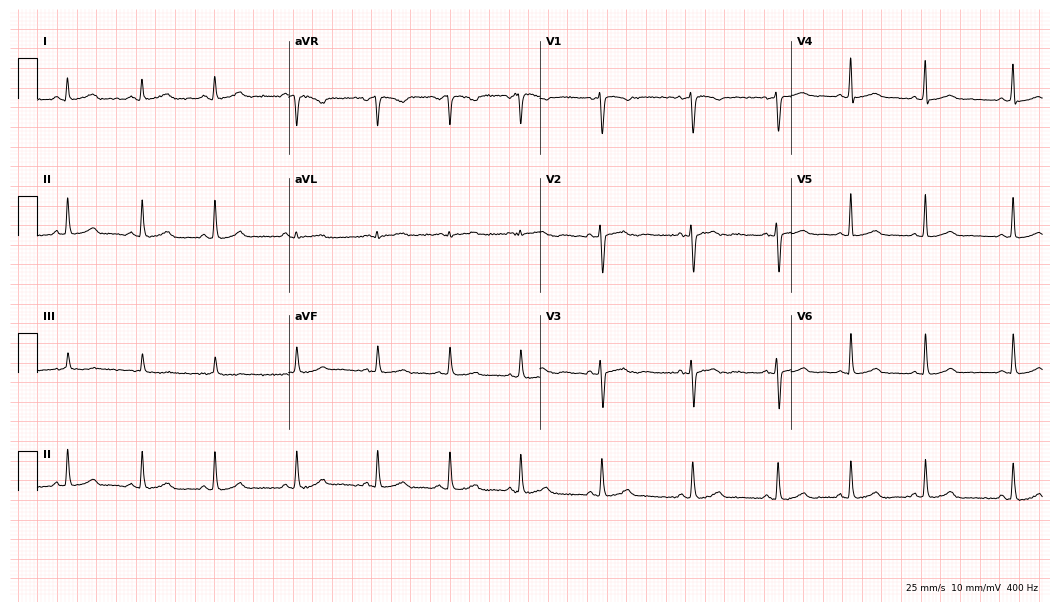
12-lead ECG from a woman, 25 years old (10.2-second recording at 400 Hz). Recorded interpretation: within normal limits.